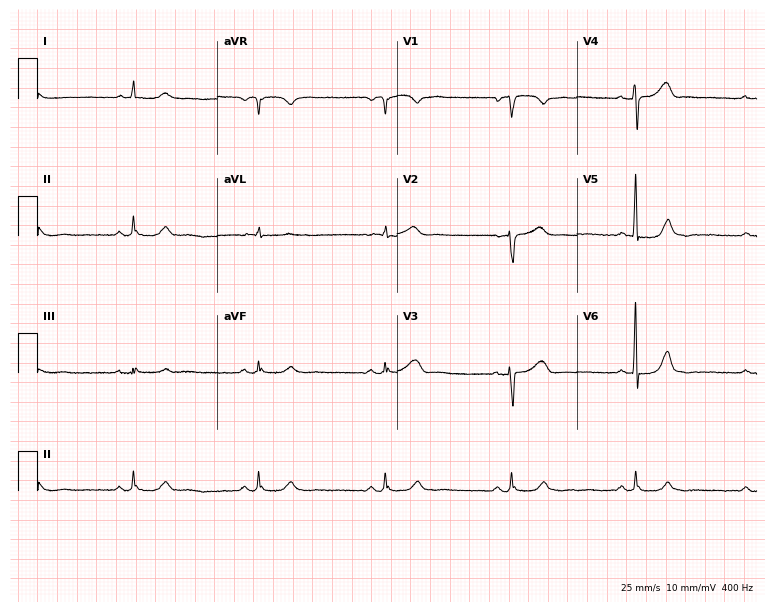
ECG — an 18-year-old woman. Findings include sinus bradycardia (a sinus rate of 50 beats per minute or less).